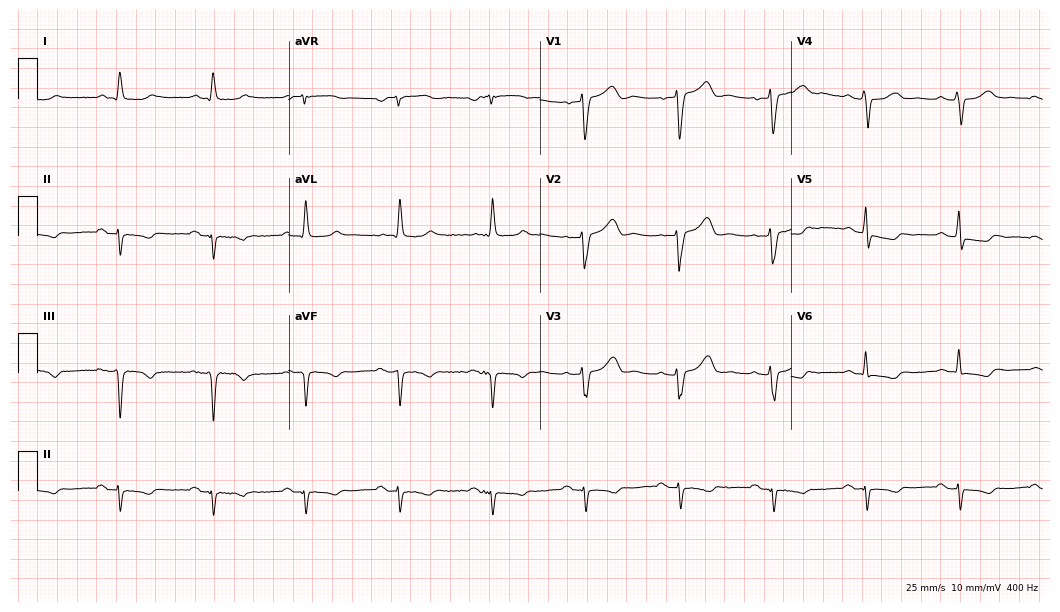
ECG (10.2-second recording at 400 Hz) — a male, 67 years old. Screened for six findings — first-degree AV block, right bundle branch block, left bundle branch block, sinus bradycardia, atrial fibrillation, sinus tachycardia — none is recorded. Findings outside these six are not listed.